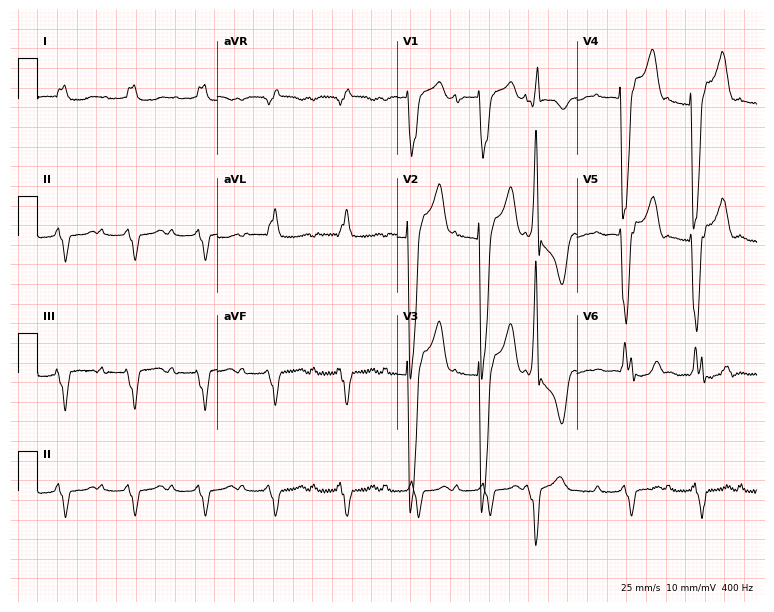
12-lead ECG from a male, 83 years old. Shows first-degree AV block, left bundle branch block (LBBB).